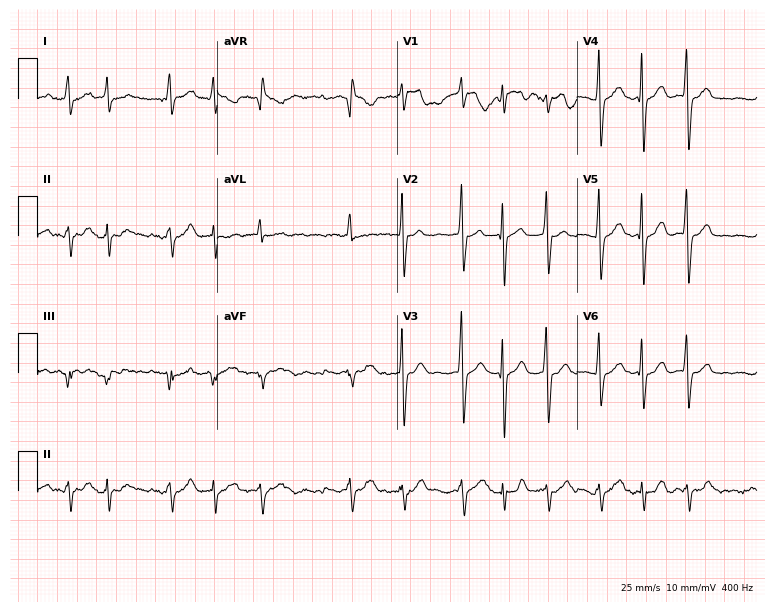
Standard 12-lead ECG recorded from a female patient, 81 years old (7.3-second recording at 400 Hz). The tracing shows atrial fibrillation.